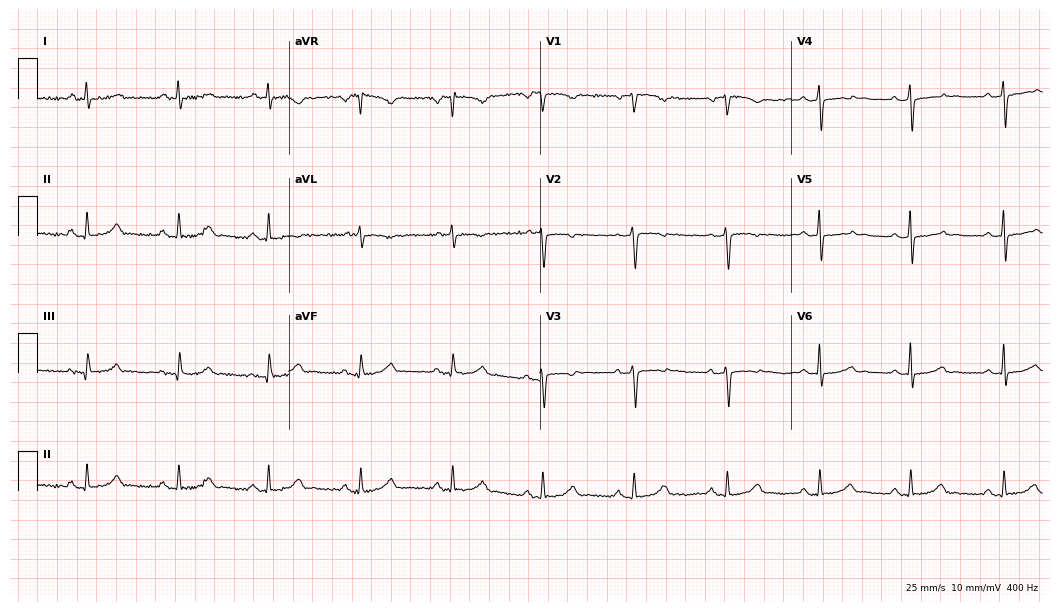
Standard 12-lead ECG recorded from a female patient, 65 years old. Read as a normal ECG.